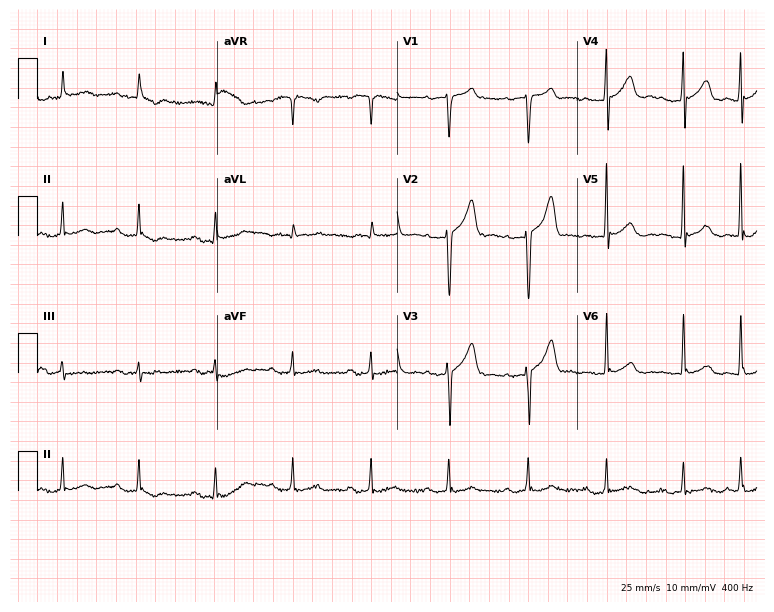
ECG — a male, 77 years old. Findings include first-degree AV block.